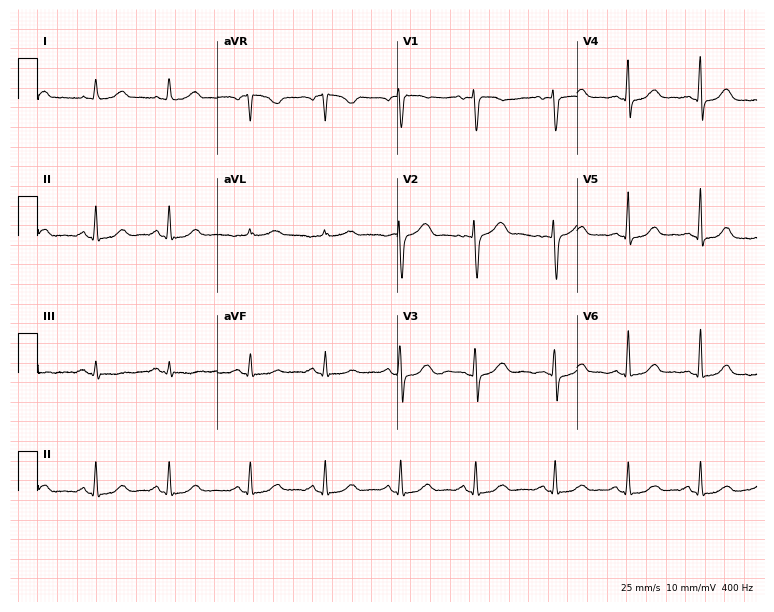
Standard 12-lead ECG recorded from a 57-year-old woman (7.3-second recording at 400 Hz). Read as a normal ECG.